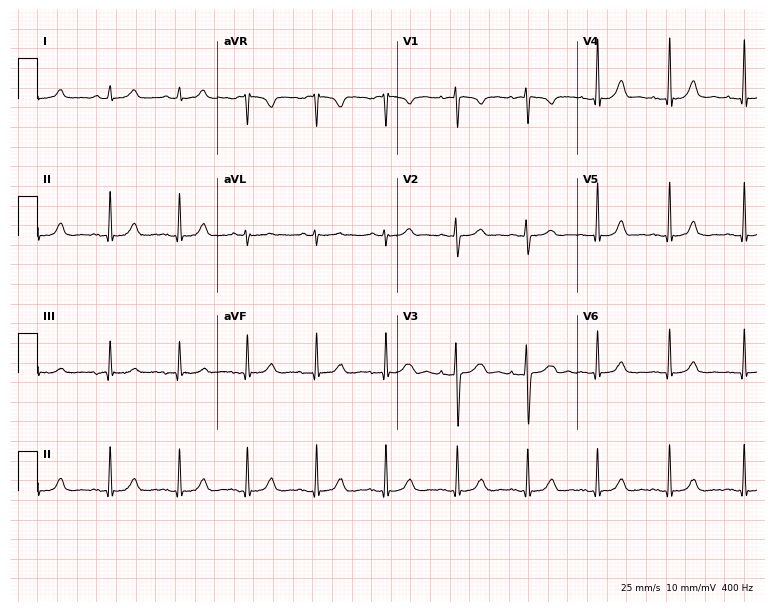
ECG (7.3-second recording at 400 Hz) — a 20-year-old woman. Labelled as a normal ECG.